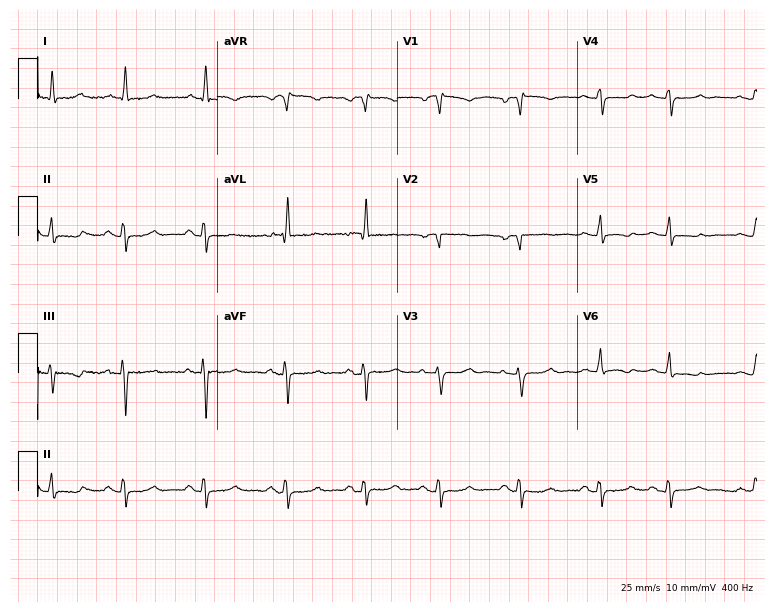
Standard 12-lead ECG recorded from a 68-year-old woman. None of these six findings is recorded: first-degree AV block, right bundle branch block, left bundle branch block, sinus bradycardia, atrial fibrillation, sinus tachycardia.